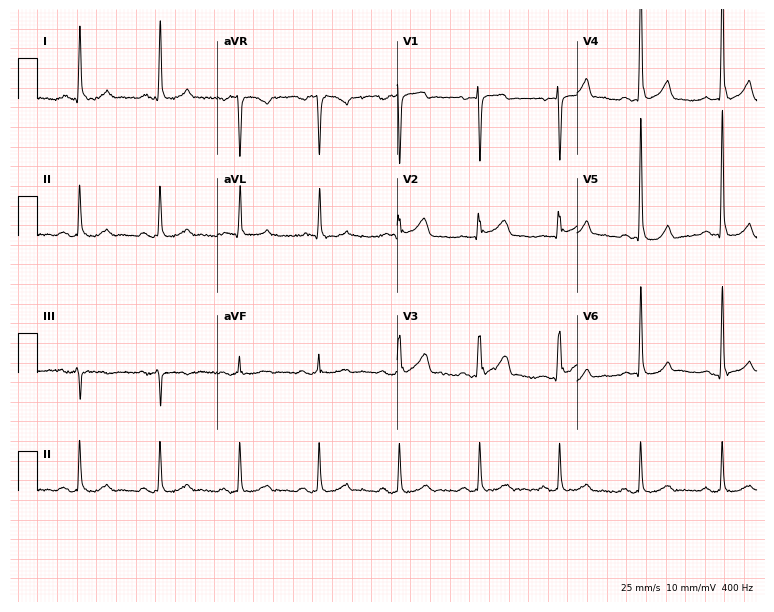
Electrocardiogram, a 61-year-old man. Of the six screened findings (first-degree AV block, right bundle branch block, left bundle branch block, sinus bradycardia, atrial fibrillation, sinus tachycardia), none is recorded. Findings outside these six are not listed.